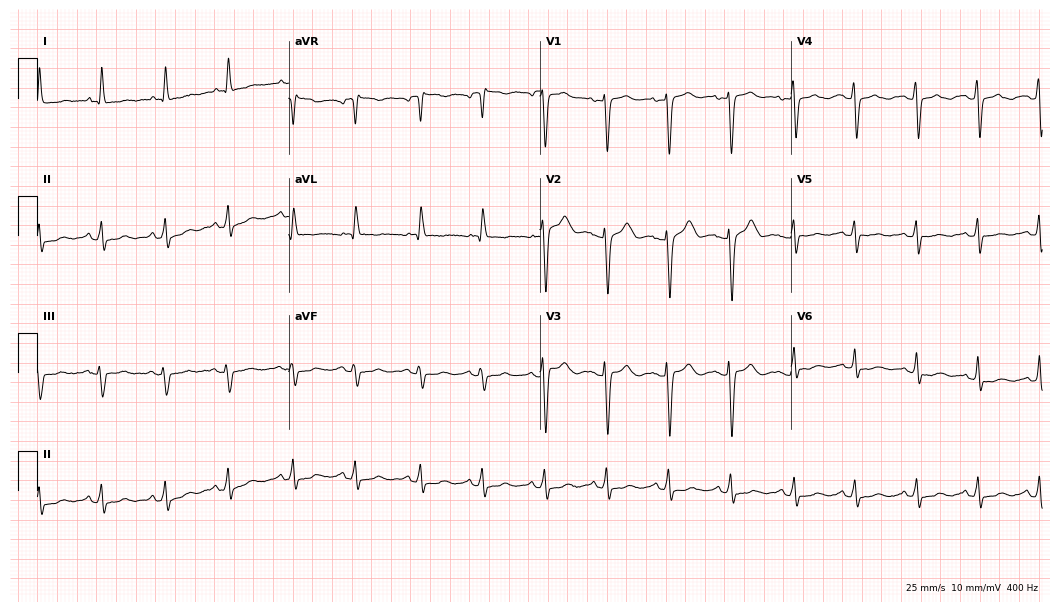
Standard 12-lead ECG recorded from a woman, 67 years old. None of these six findings is recorded: first-degree AV block, right bundle branch block, left bundle branch block, sinus bradycardia, atrial fibrillation, sinus tachycardia.